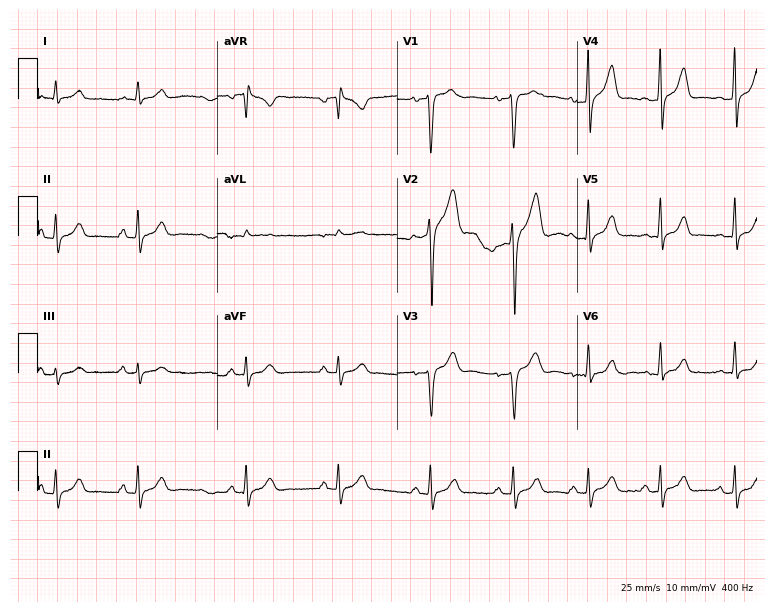
Electrocardiogram (7.3-second recording at 400 Hz), a 26-year-old male patient. Of the six screened findings (first-degree AV block, right bundle branch block (RBBB), left bundle branch block (LBBB), sinus bradycardia, atrial fibrillation (AF), sinus tachycardia), none is recorded. Other findings, if any, are not listed.